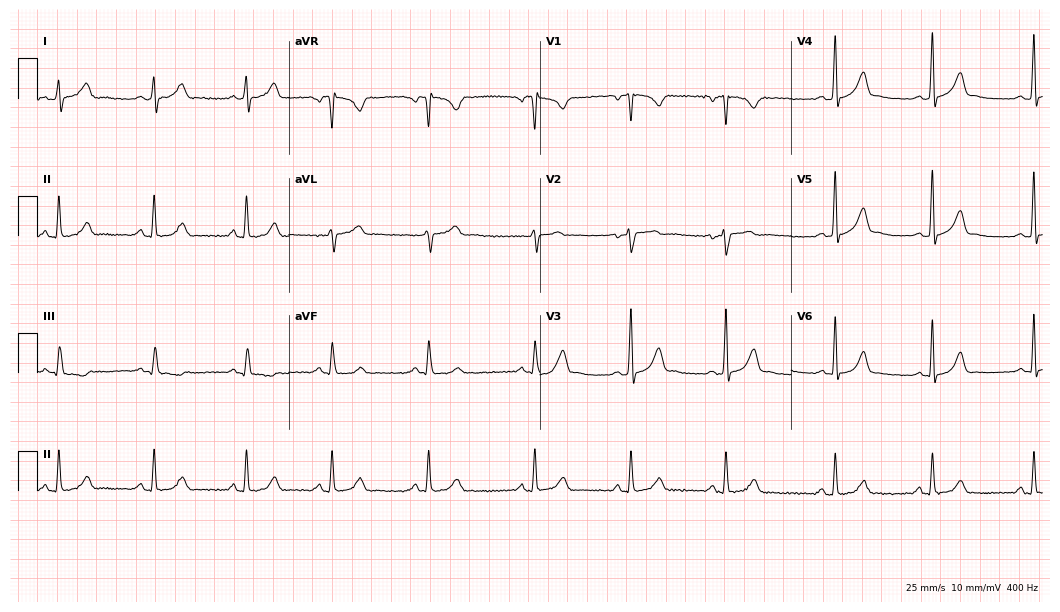
12-lead ECG from a 26-year-old woman (10.2-second recording at 400 Hz). No first-degree AV block, right bundle branch block (RBBB), left bundle branch block (LBBB), sinus bradycardia, atrial fibrillation (AF) or sinus tachycardia recorded for this tracing. Other findings, if any, are not listed.